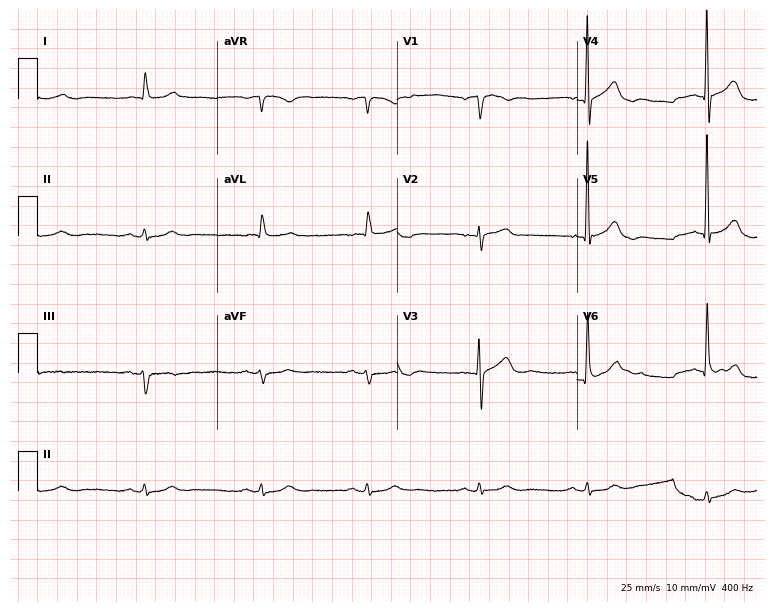
ECG — an 85-year-old male patient. Labelled as a normal ECG.